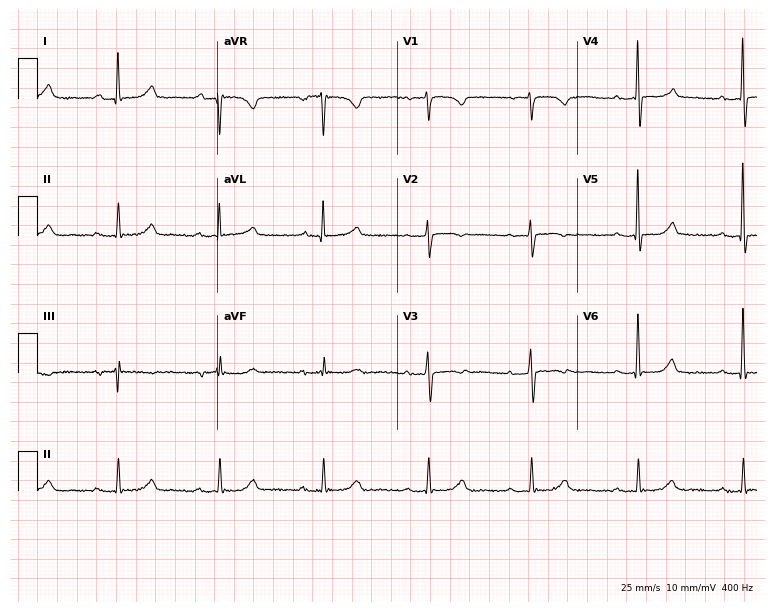
Electrocardiogram, a 73-year-old female patient. Interpretation includes first-degree AV block.